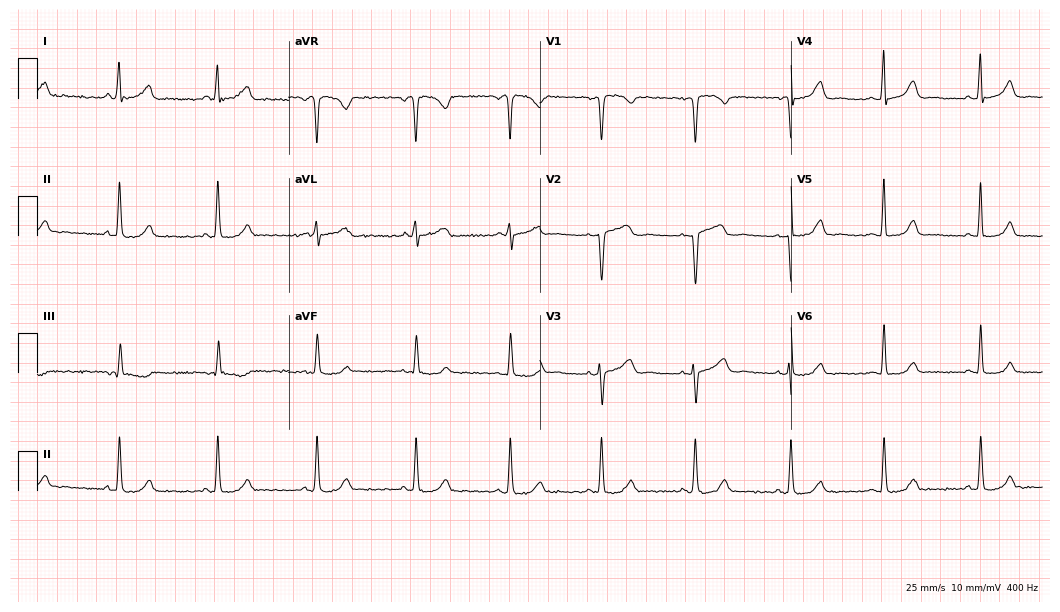
ECG (10.2-second recording at 400 Hz) — a 42-year-old woman. Screened for six findings — first-degree AV block, right bundle branch block (RBBB), left bundle branch block (LBBB), sinus bradycardia, atrial fibrillation (AF), sinus tachycardia — none is recorded. Other findings, if any, are not listed.